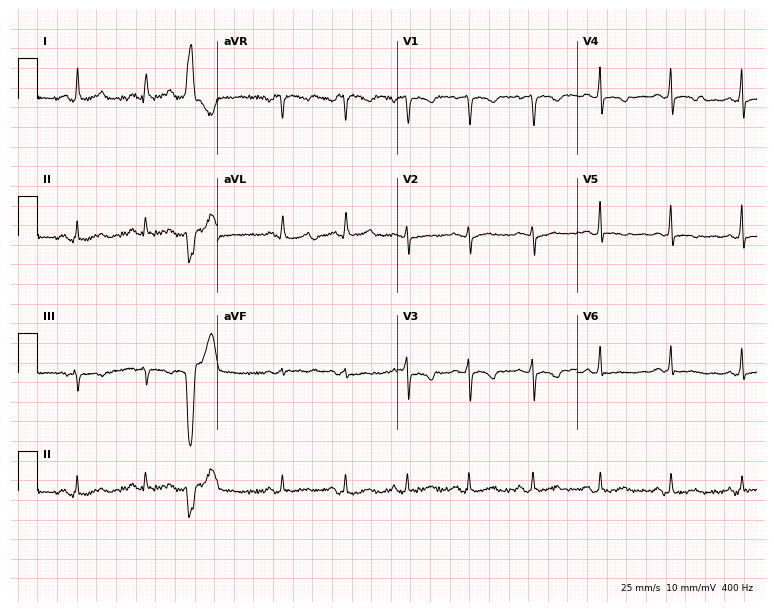
12-lead ECG from a 45-year-old woman. No first-degree AV block, right bundle branch block, left bundle branch block, sinus bradycardia, atrial fibrillation or sinus tachycardia recorded for this tracing.